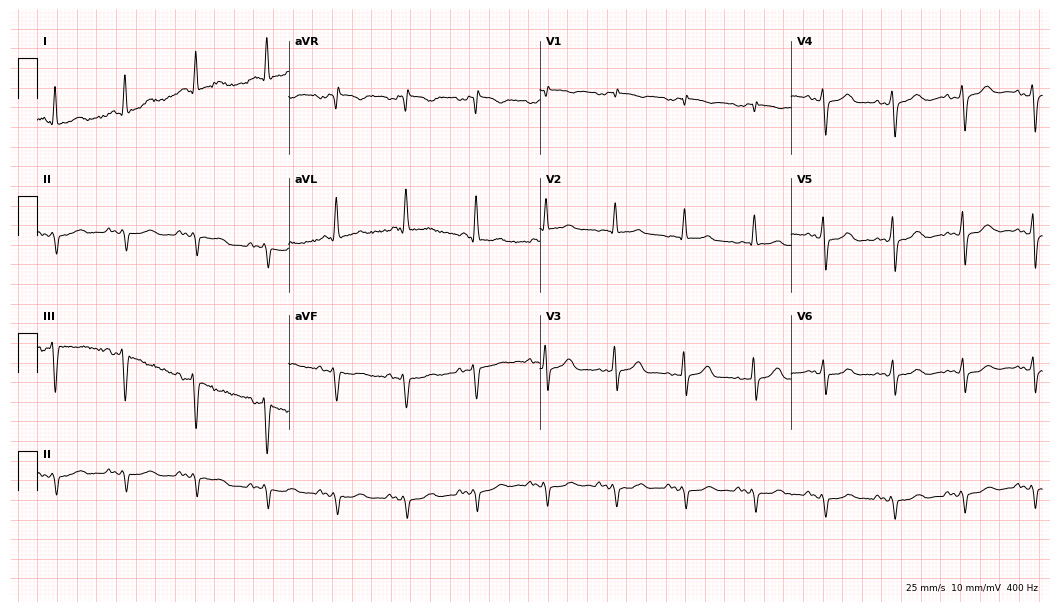
ECG (10.2-second recording at 400 Hz) — a 77-year-old woman. Screened for six findings — first-degree AV block, right bundle branch block (RBBB), left bundle branch block (LBBB), sinus bradycardia, atrial fibrillation (AF), sinus tachycardia — none is recorded. Only these six findings were labelled.